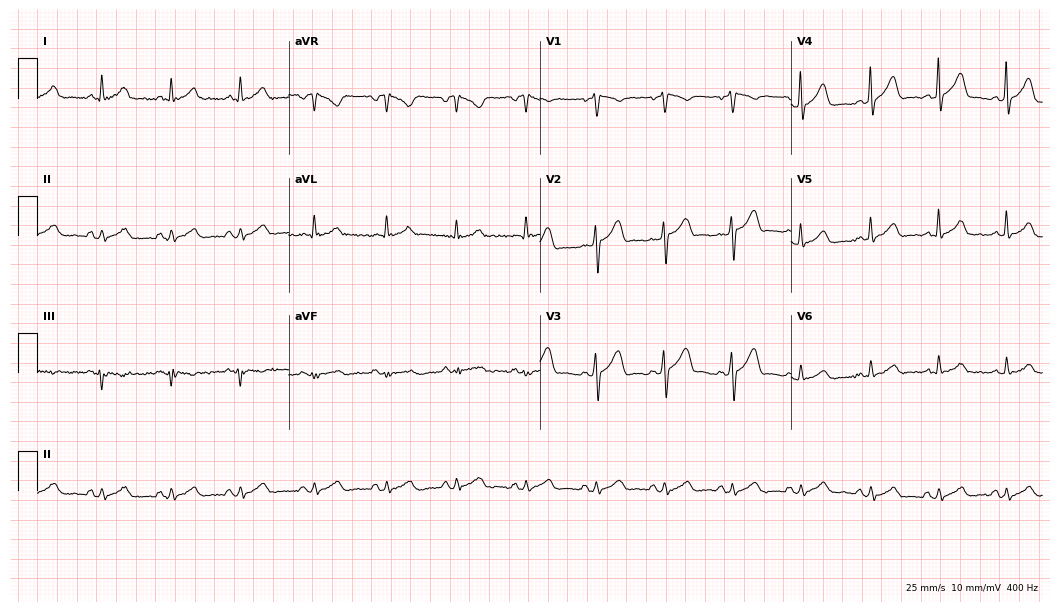
Electrocardiogram, a 52-year-old man. Overall reading on record: normal ECG.